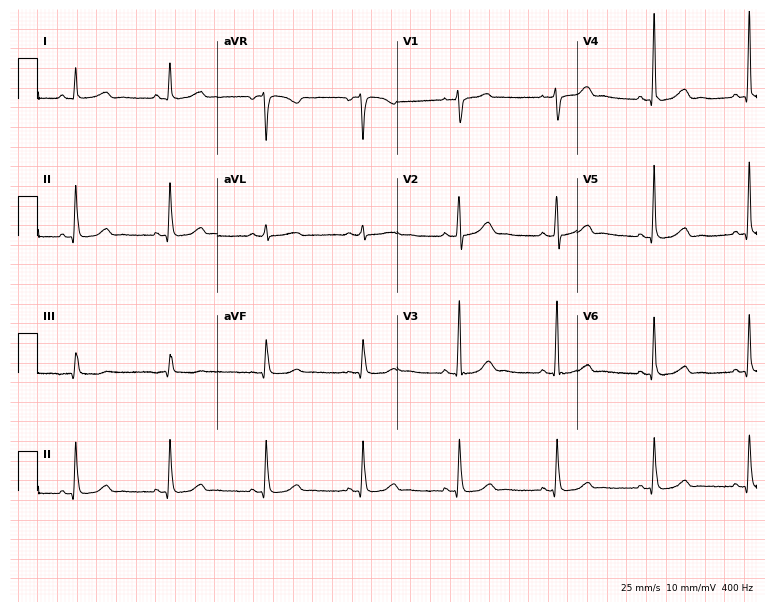
ECG — a 68-year-old woman. Labelled as a normal ECG.